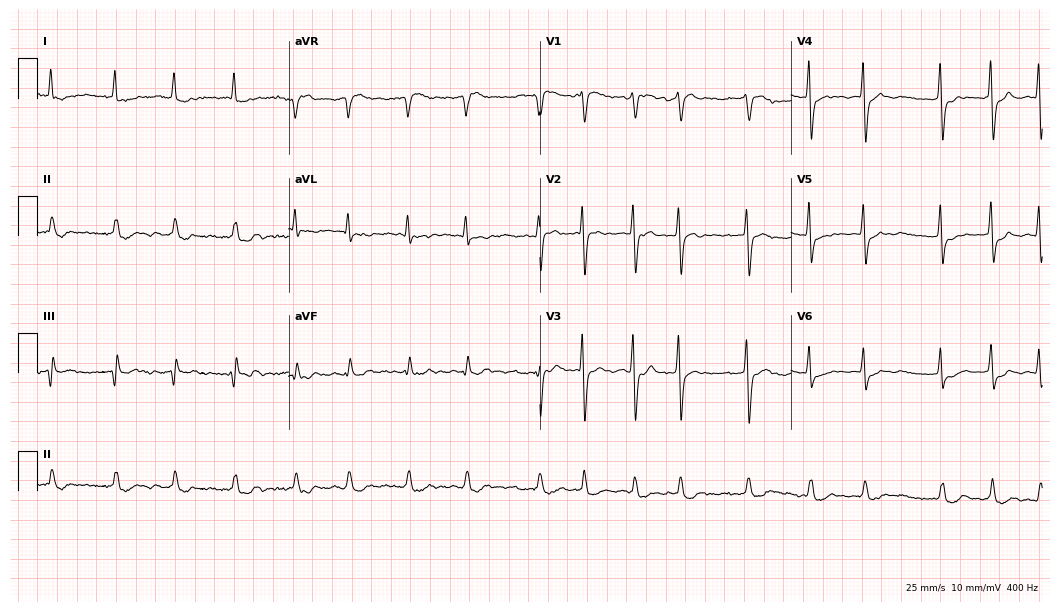
ECG — an 81-year-old woman. Findings include atrial fibrillation.